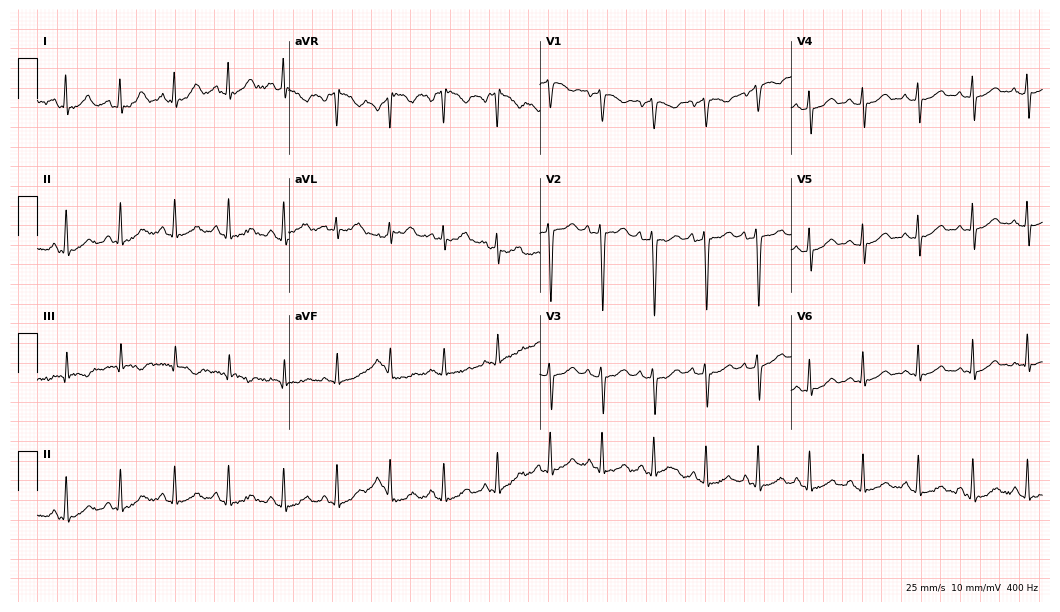
Standard 12-lead ECG recorded from a 23-year-old female patient. The tracing shows sinus tachycardia (a sinus rate of 100 beats per minute or more).